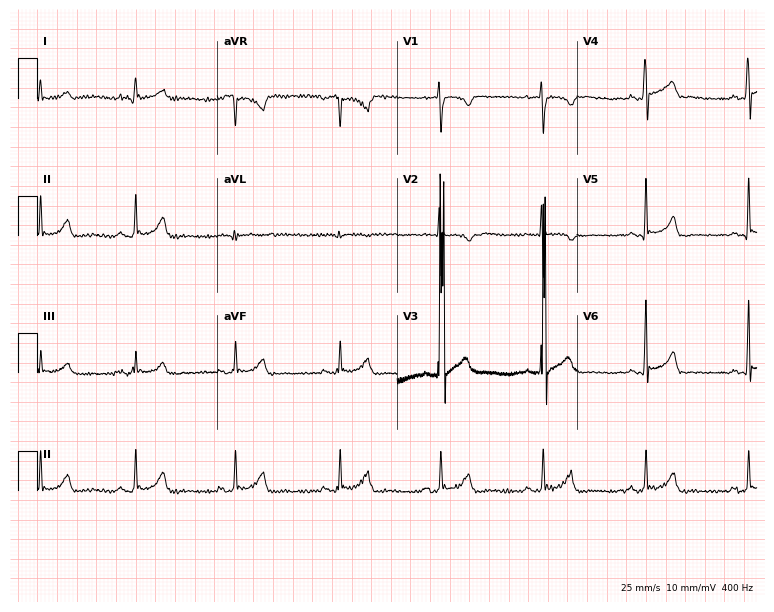
12-lead ECG (7.3-second recording at 400 Hz) from a man, 22 years old. Labelled as a normal ECG.